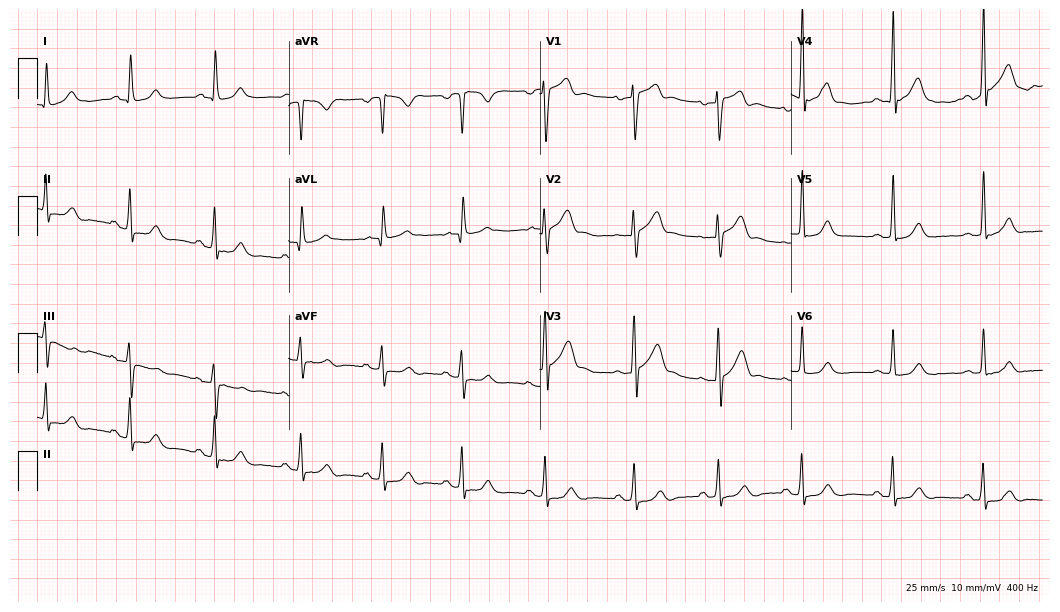
Resting 12-lead electrocardiogram (10.2-second recording at 400 Hz). Patient: a male, 36 years old. Read as a normal ECG.